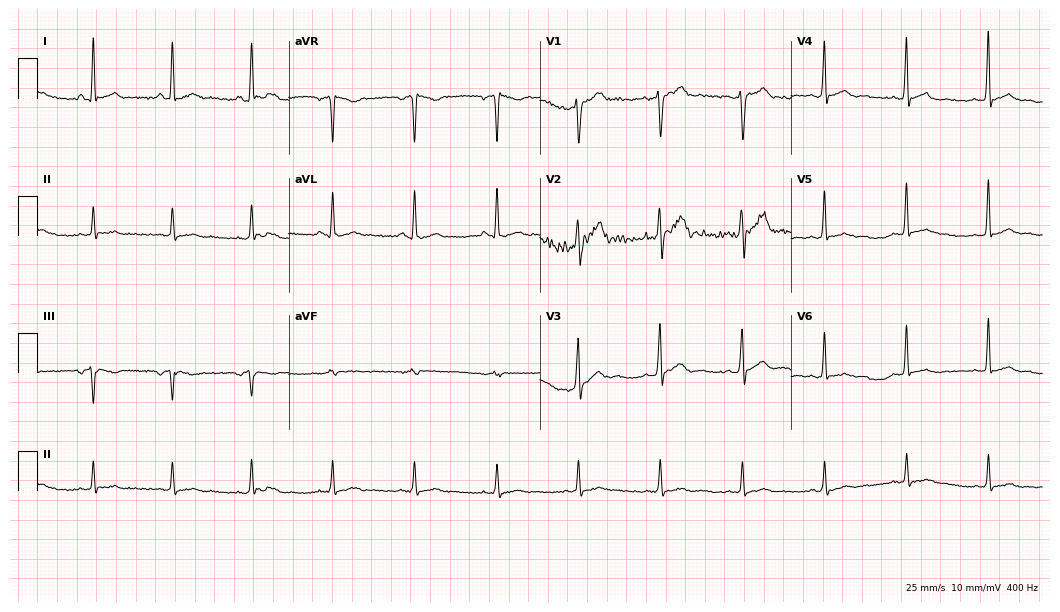
Resting 12-lead electrocardiogram (10.2-second recording at 400 Hz). Patient: a male, 35 years old. Read as a normal ECG.